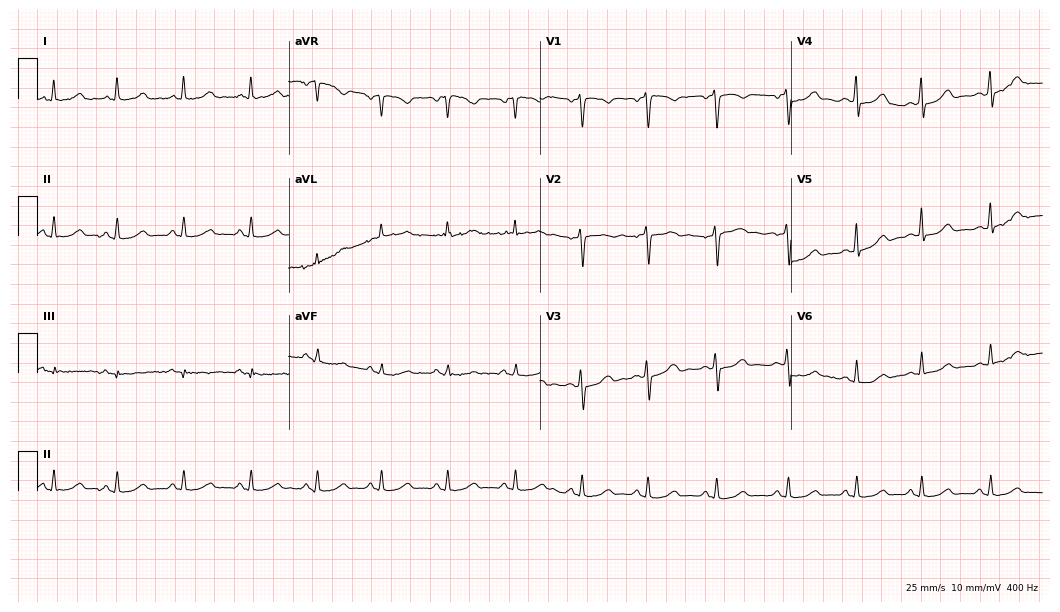
Resting 12-lead electrocardiogram. Patient: a 48-year-old female. None of these six findings is recorded: first-degree AV block, right bundle branch block (RBBB), left bundle branch block (LBBB), sinus bradycardia, atrial fibrillation (AF), sinus tachycardia. Other findings, if any, are not listed.